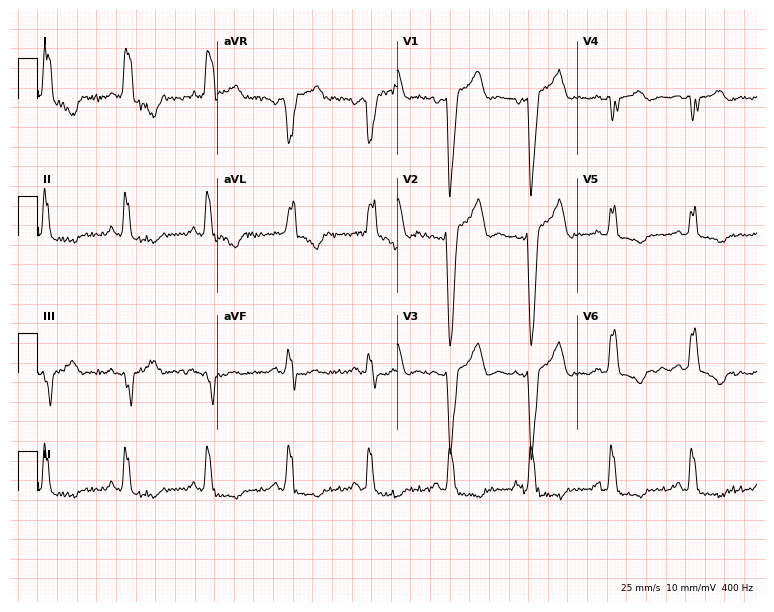
Resting 12-lead electrocardiogram. Patient: a 73-year-old woman. The tracing shows left bundle branch block.